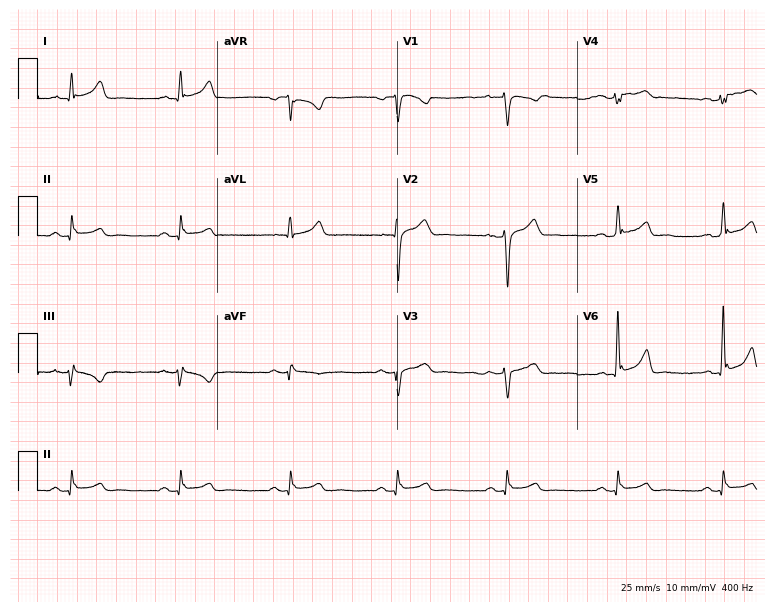
12-lead ECG from a 35-year-old man. Screened for six findings — first-degree AV block, right bundle branch block (RBBB), left bundle branch block (LBBB), sinus bradycardia, atrial fibrillation (AF), sinus tachycardia — none is recorded. Other findings, if any, are not listed.